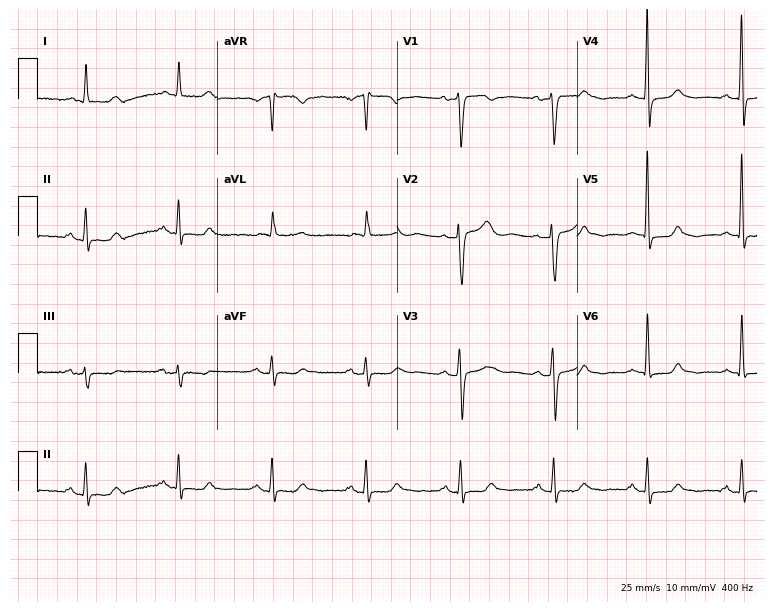
Standard 12-lead ECG recorded from a female, 53 years old. Read as a normal ECG.